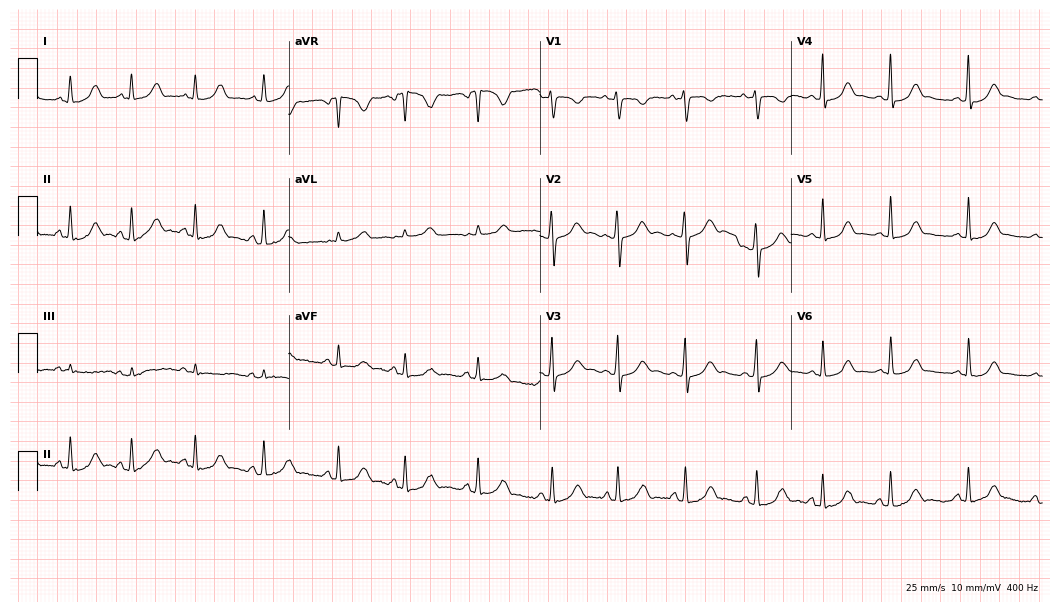
12-lead ECG from a female, 19 years old (10.2-second recording at 400 Hz). No first-degree AV block, right bundle branch block (RBBB), left bundle branch block (LBBB), sinus bradycardia, atrial fibrillation (AF) or sinus tachycardia recorded for this tracing.